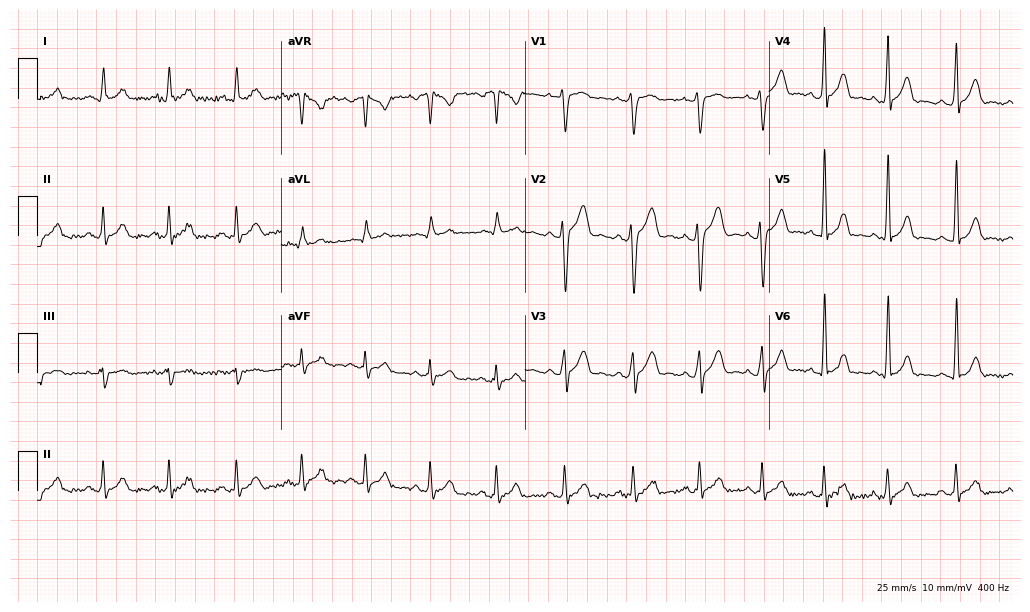
Electrocardiogram (9.9-second recording at 400 Hz), a male, 21 years old. Overall reading on record: normal ECG.